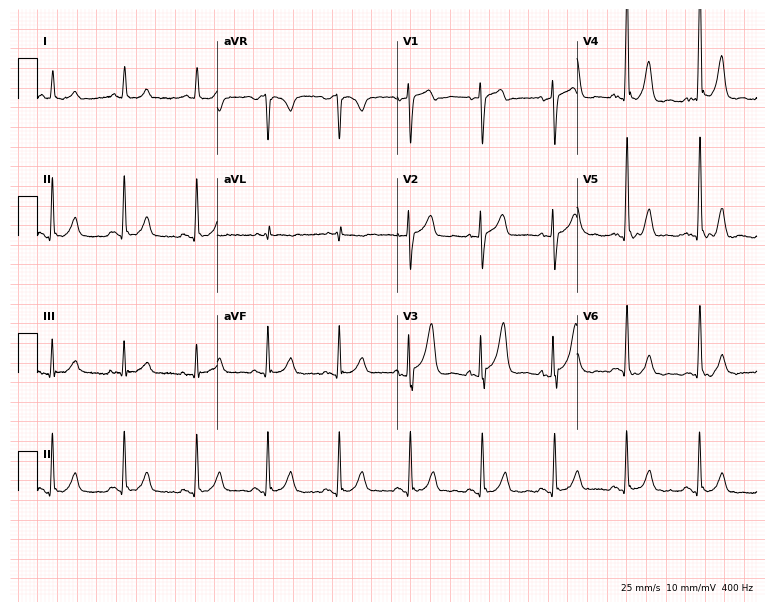
12-lead ECG from a 72-year-old man (7.3-second recording at 400 Hz). No first-degree AV block, right bundle branch block, left bundle branch block, sinus bradycardia, atrial fibrillation or sinus tachycardia recorded for this tracing.